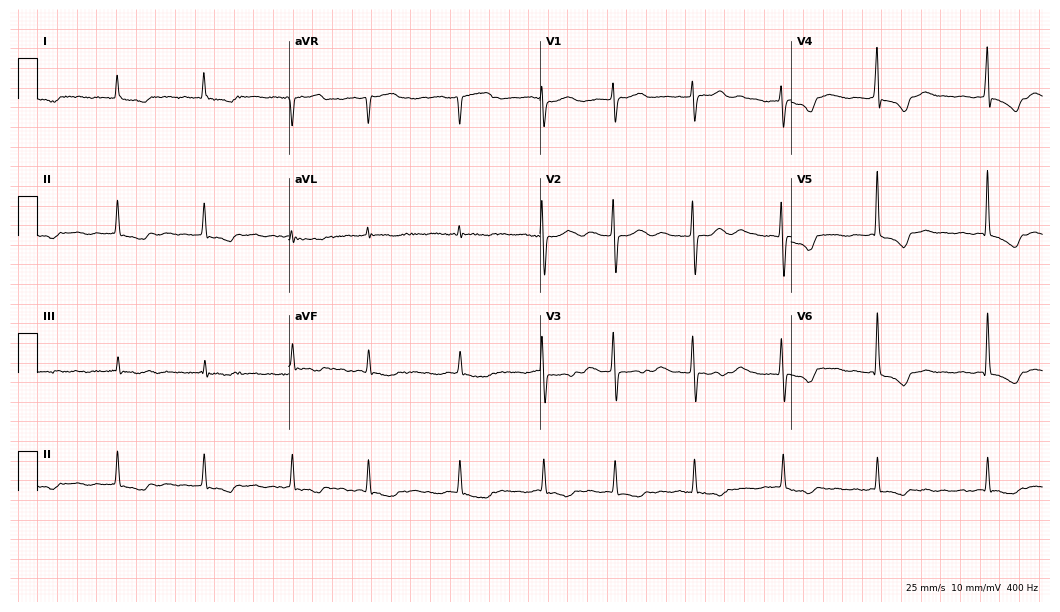
12-lead ECG (10.2-second recording at 400 Hz) from a female patient, 74 years old. Findings include atrial fibrillation.